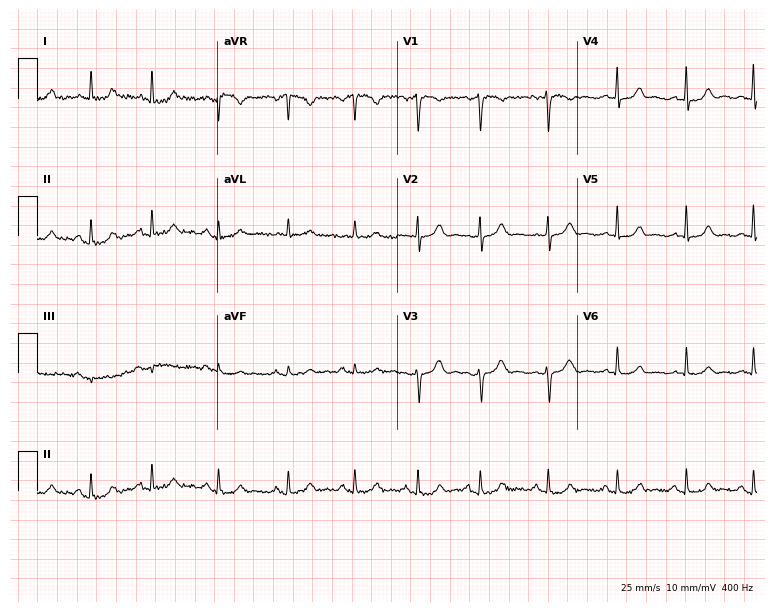
ECG — a female, 41 years old. Labelled as a normal ECG.